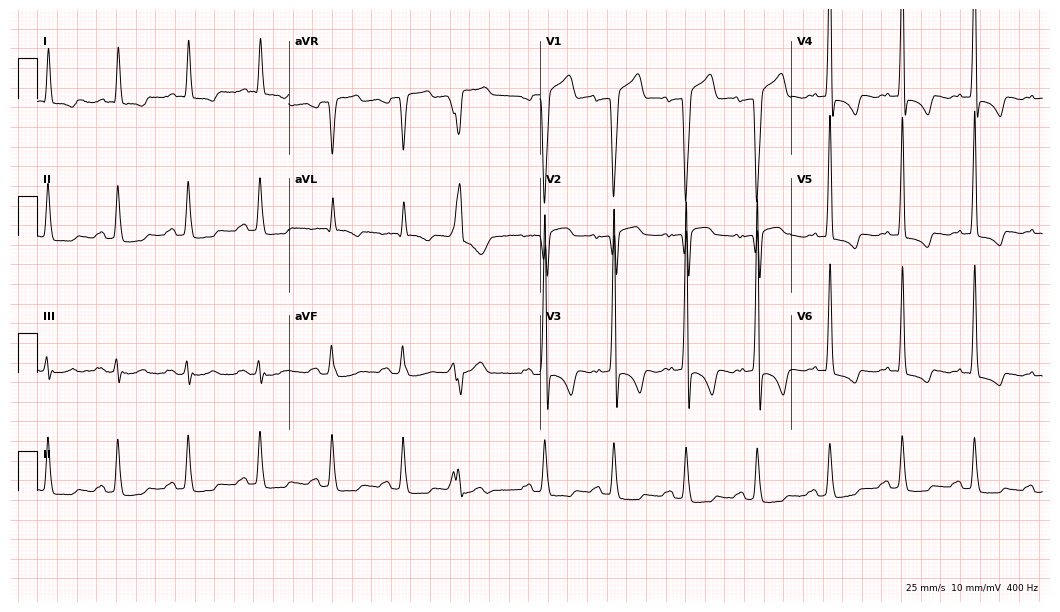
ECG — a man, 69 years old. Screened for six findings — first-degree AV block, right bundle branch block, left bundle branch block, sinus bradycardia, atrial fibrillation, sinus tachycardia — none is recorded. Only these six findings were labelled.